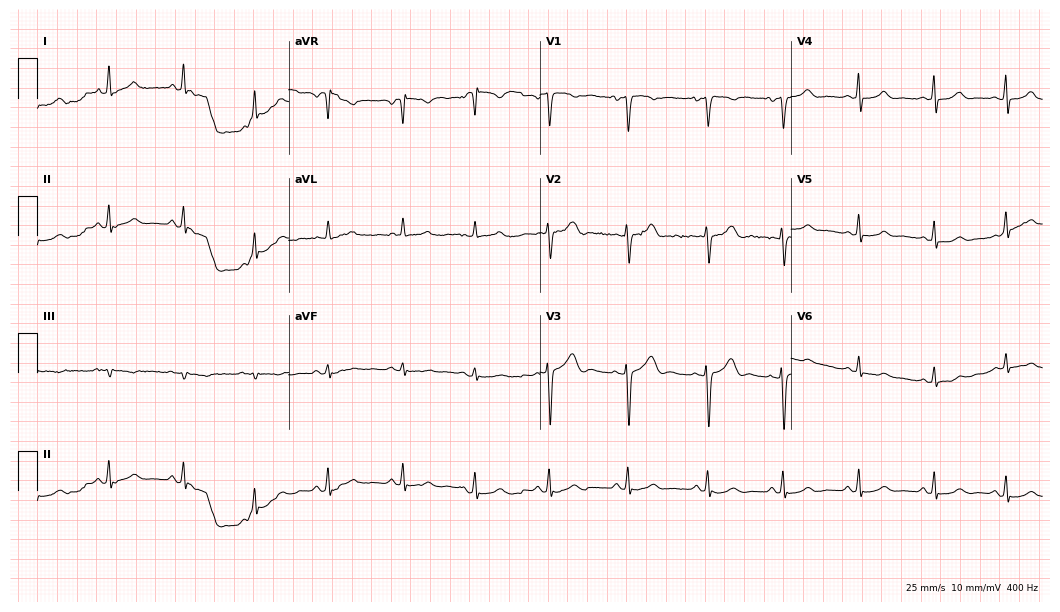
12-lead ECG from a woman, 25 years old (10.2-second recording at 400 Hz). Recorded interpretation: within normal limits.